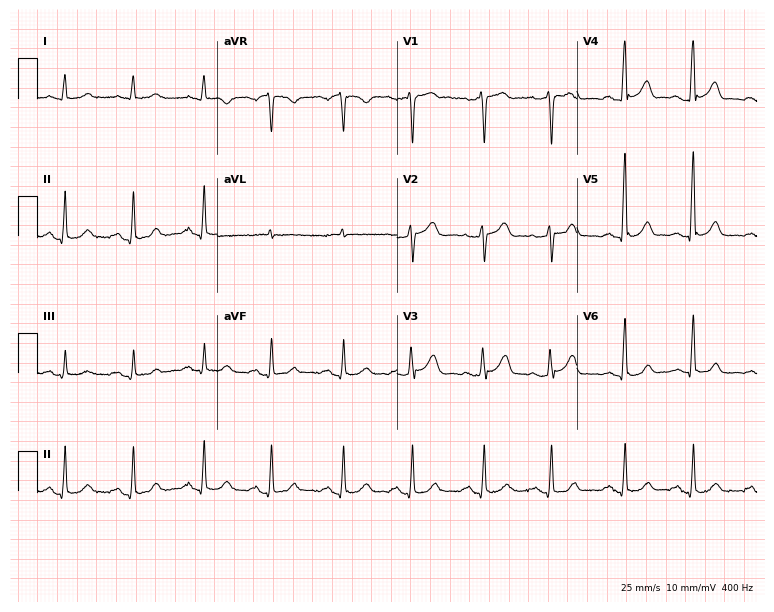
12-lead ECG from a male patient, 65 years old. Labelled as a normal ECG.